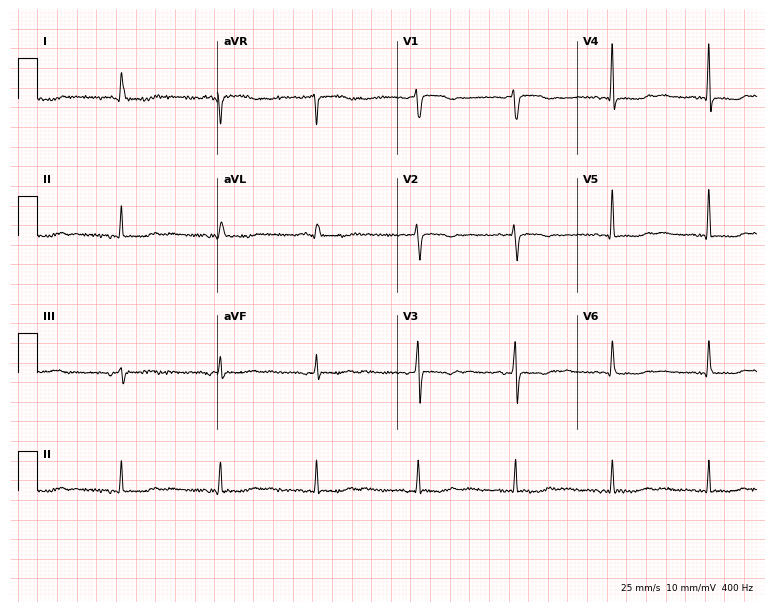
Electrocardiogram, an 85-year-old female. Of the six screened findings (first-degree AV block, right bundle branch block, left bundle branch block, sinus bradycardia, atrial fibrillation, sinus tachycardia), none is recorded.